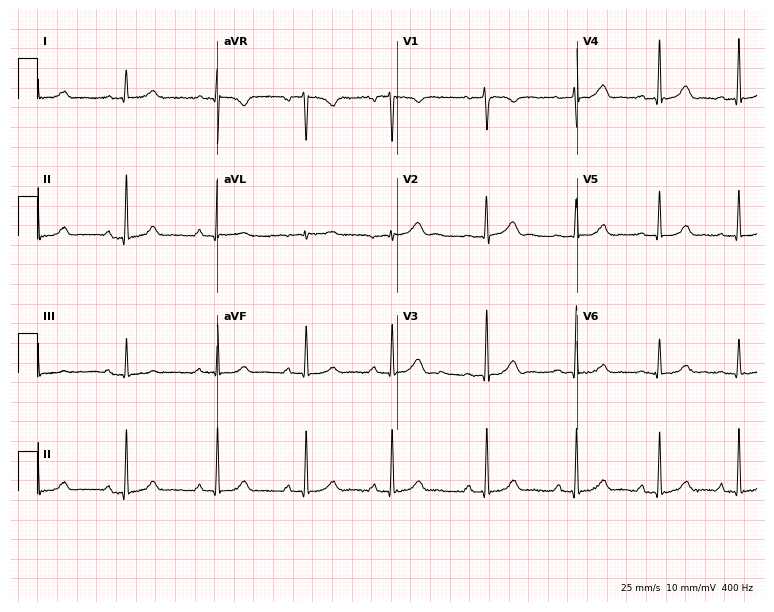
Standard 12-lead ECG recorded from a 25-year-old woman (7.3-second recording at 400 Hz). Read as a normal ECG.